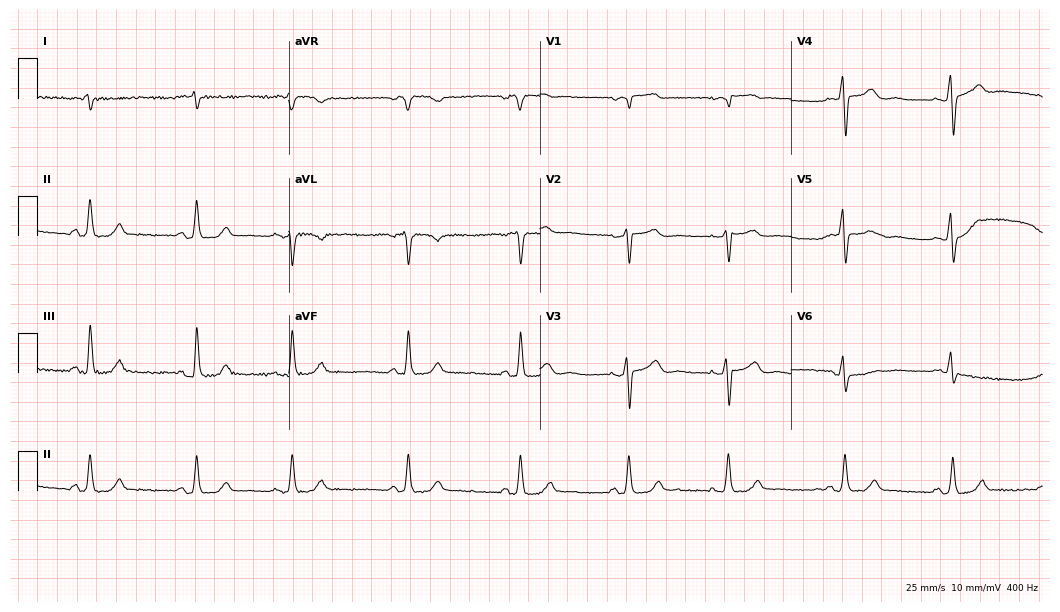
Electrocardiogram (10.2-second recording at 400 Hz), a male, 83 years old. Of the six screened findings (first-degree AV block, right bundle branch block, left bundle branch block, sinus bradycardia, atrial fibrillation, sinus tachycardia), none is recorded.